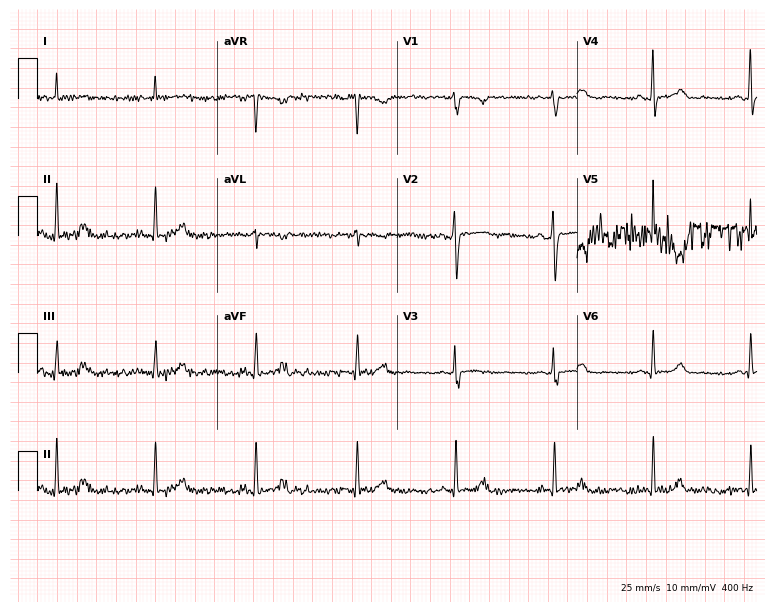
12-lead ECG from a woman, 41 years old. No first-degree AV block, right bundle branch block, left bundle branch block, sinus bradycardia, atrial fibrillation or sinus tachycardia recorded for this tracing. Other findings, if any, are not listed.